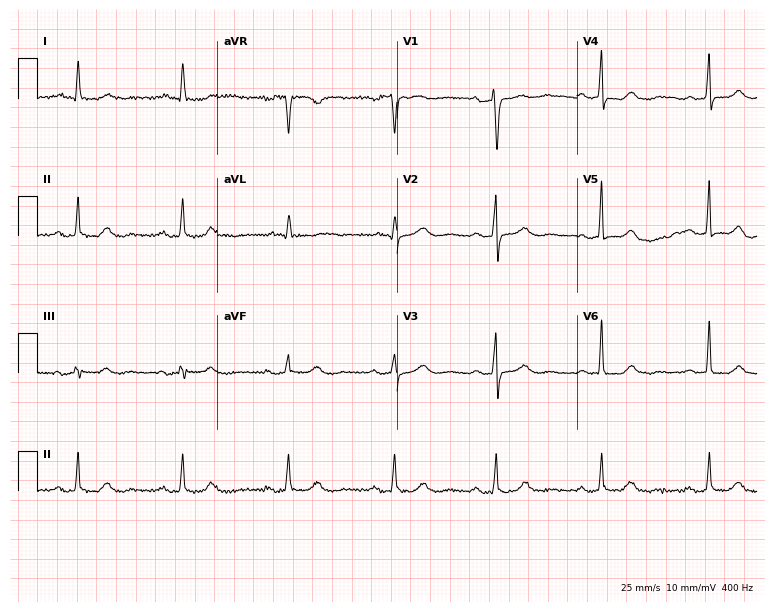
Standard 12-lead ECG recorded from a 63-year-old female patient. Read as a normal ECG.